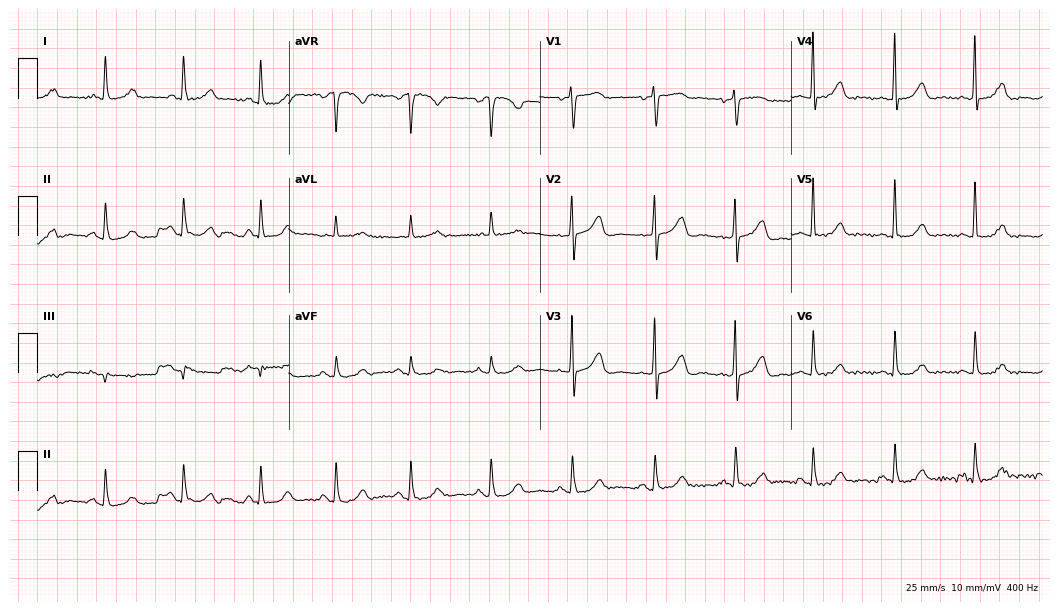
Electrocardiogram, a woman, 80 years old. Overall reading on record: normal ECG.